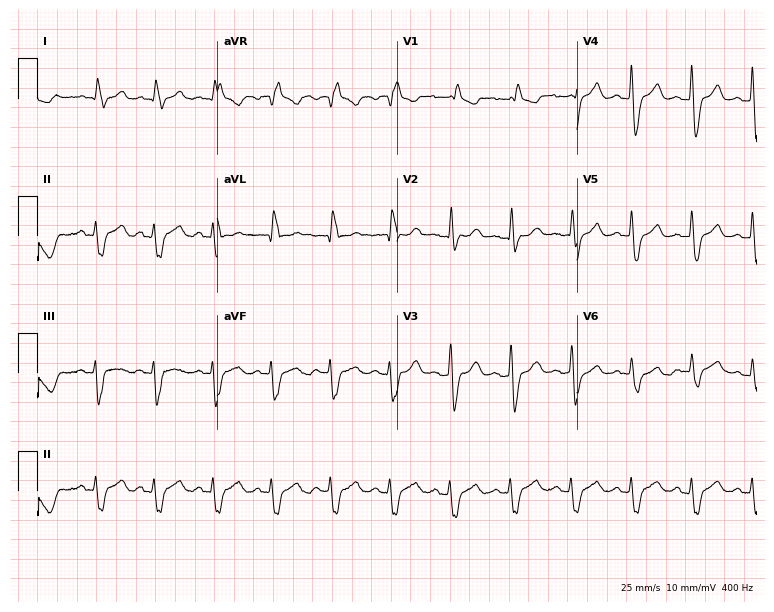
ECG — a female patient, 63 years old. Findings include right bundle branch block.